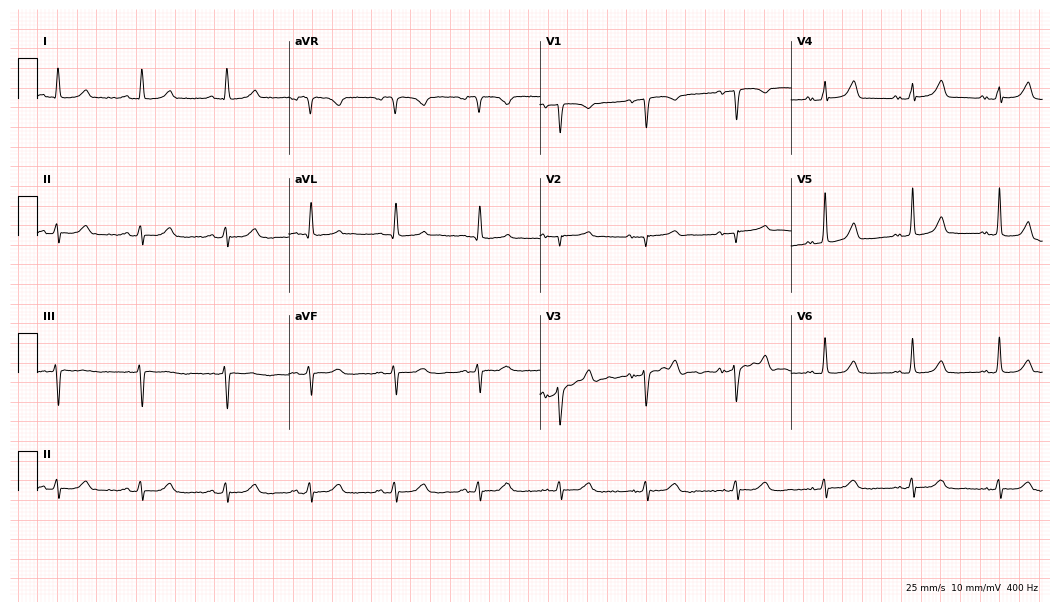
12-lead ECG from a female patient, 71 years old (10.2-second recording at 400 Hz). Recorded interpretation: within normal limits.